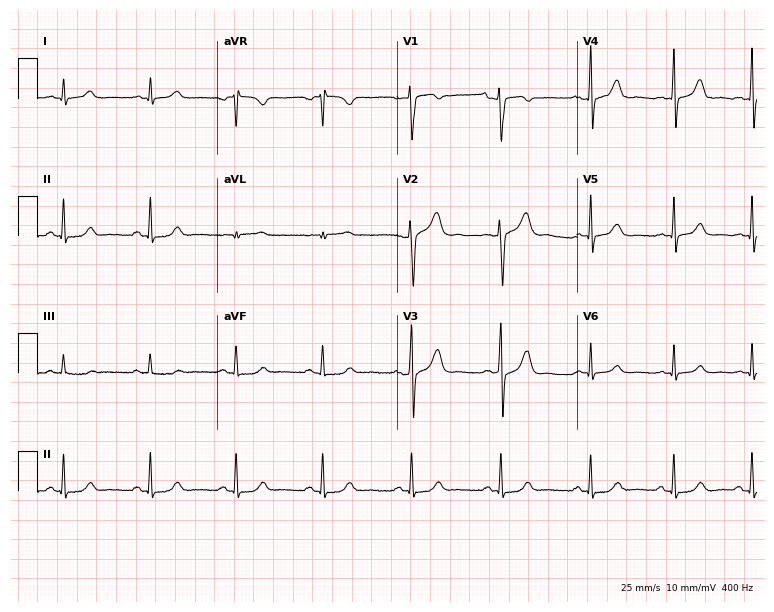
ECG (7.3-second recording at 400 Hz) — a 27-year-old female. Screened for six findings — first-degree AV block, right bundle branch block, left bundle branch block, sinus bradycardia, atrial fibrillation, sinus tachycardia — none is recorded. Other findings, if any, are not listed.